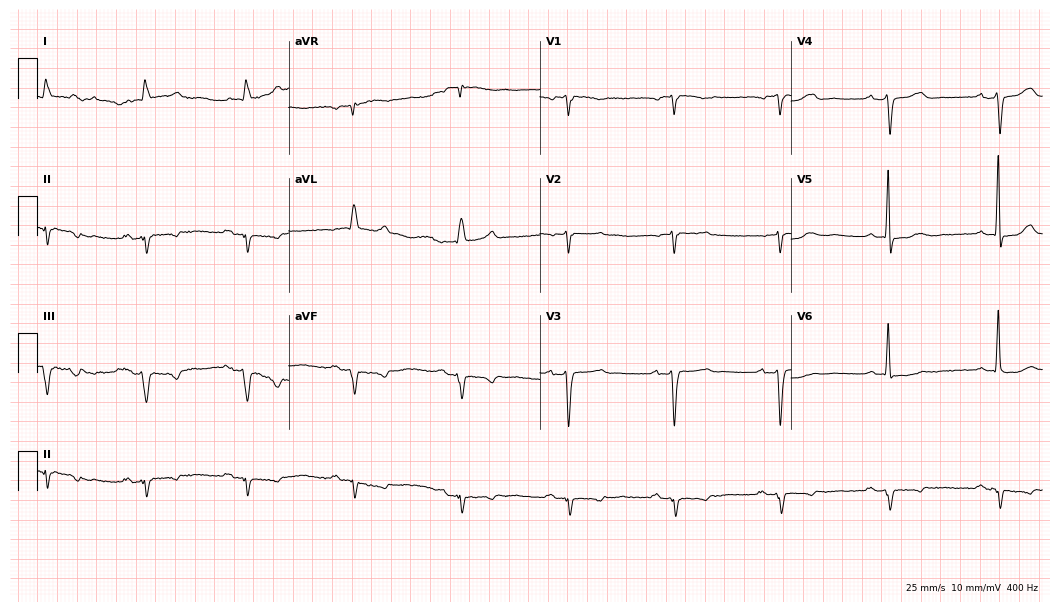
12-lead ECG from a 77-year-old male patient. No first-degree AV block, right bundle branch block, left bundle branch block, sinus bradycardia, atrial fibrillation or sinus tachycardia recorded for this tracing. Findings outside these six are not listed.